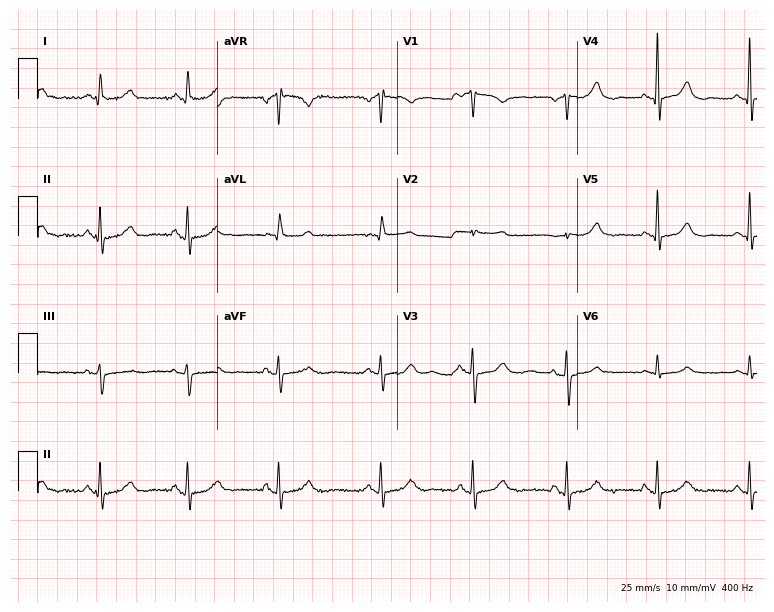
Standard 12-lead ECG recorded from a 58-year-old female (7.3-second recording at 400 Hz). Read as a normal ECG.